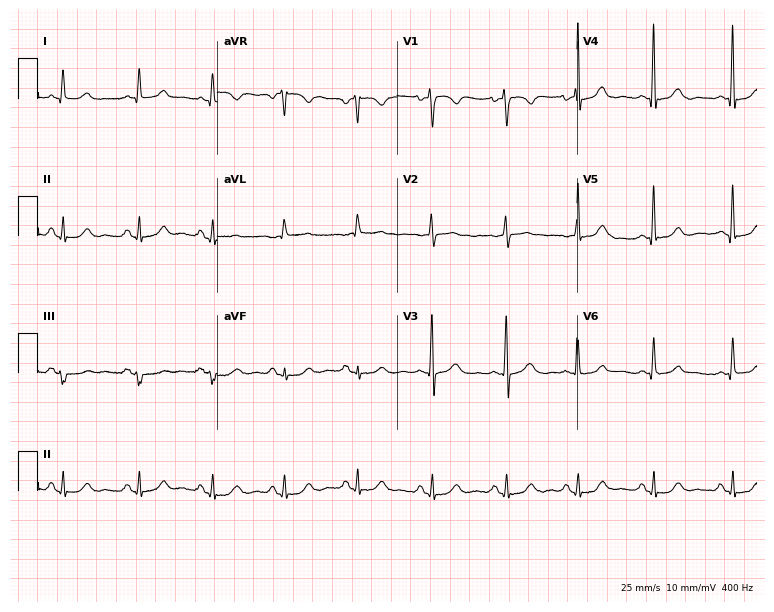
ECG — a 49-year-old woman. Screened for six findings — first-degree AV block, right bundle branch block, left bundle branch block, sinus bradycardia, atrial fibrillation, sinus tachycardia — none is recorded.